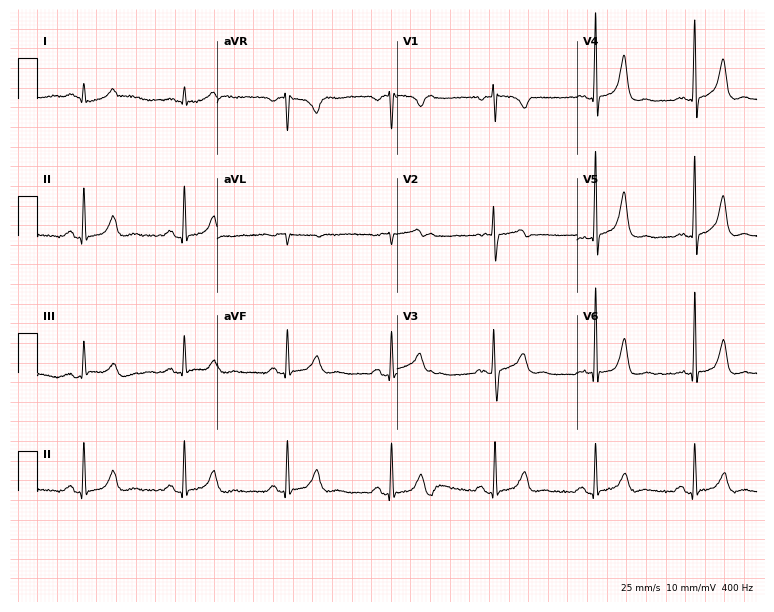
ECG (7.3-second recording at 400 Hz) — a male patient, 67 years old. Labelled as a normal ECG.